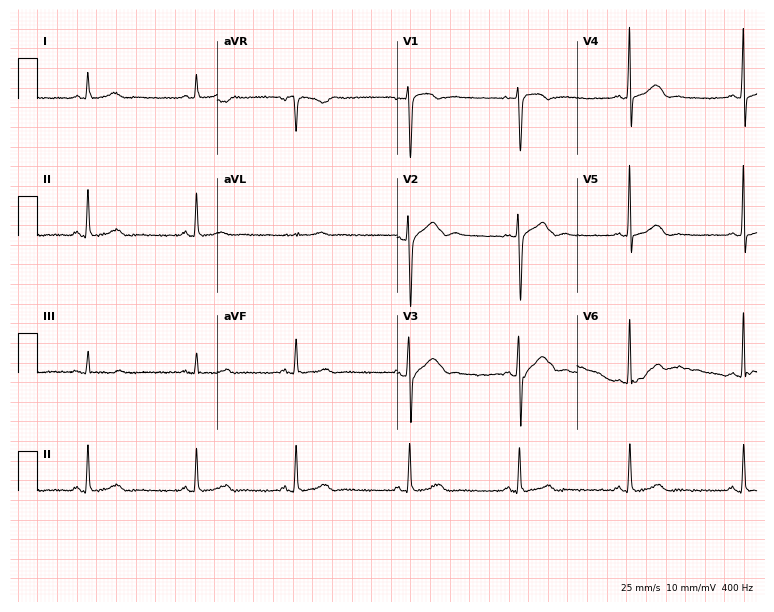
ECG (7.3-second recording at 400 Hz) — a 28-year-old female patient. Labelled as a normal ECG.